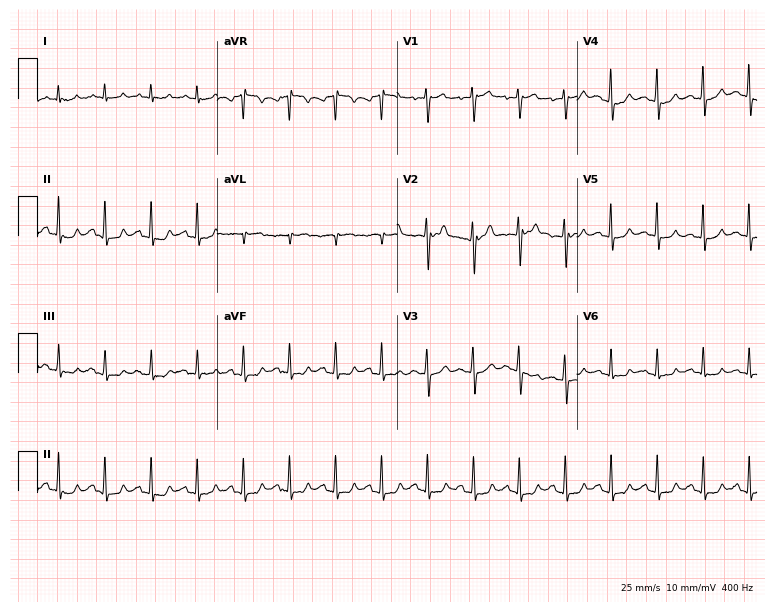
12-lead ECG from a 56-year-old female patient. Findings include sinus tachycardia (a sinus rate of 100 beats per minute or more).